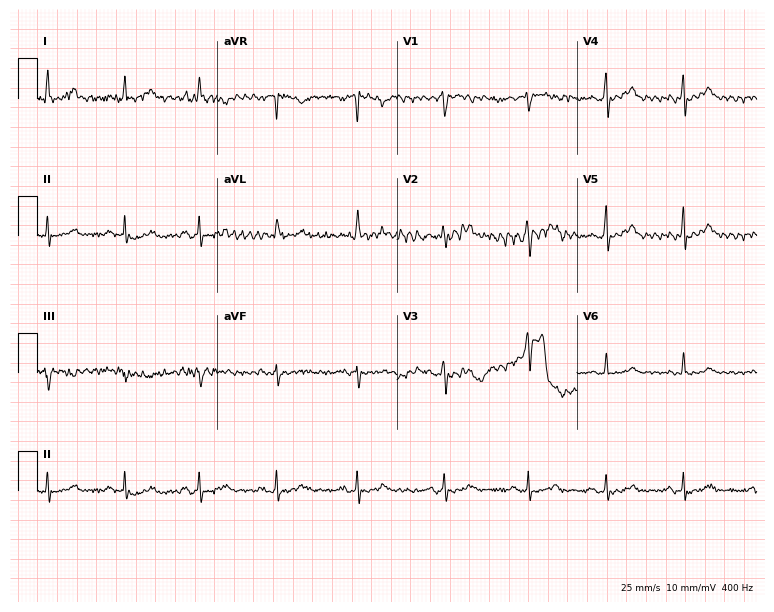
12-lead ECG from a 35-year-old female (7.3-second recording at 400 Hz). No first-degree AV block, right bundle branch block (RBBB), left bundle branch block (LBBB), sinus bradycardia, atrial fibrillation (AF) or sinus tachycardia recorded for this tracing. Only these six findings were labelled.